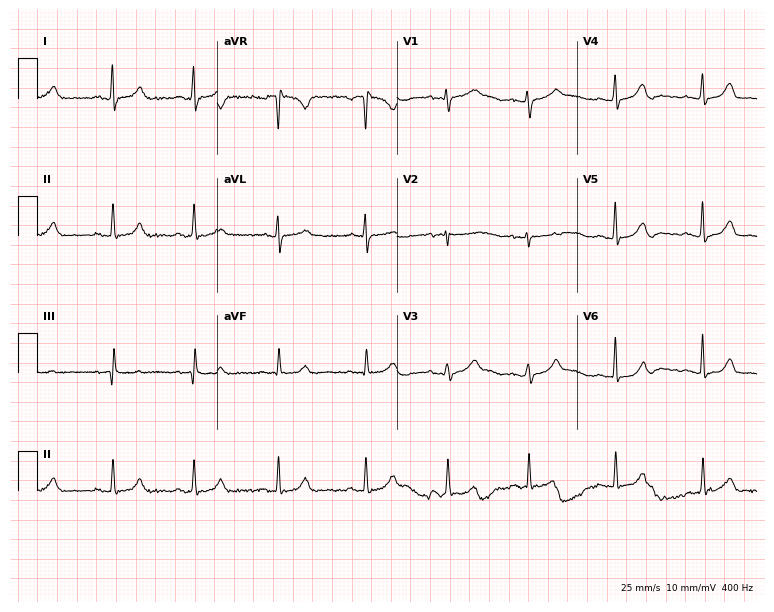
ECG — a female patient, 38 years old. Labelled as a normal ECG.